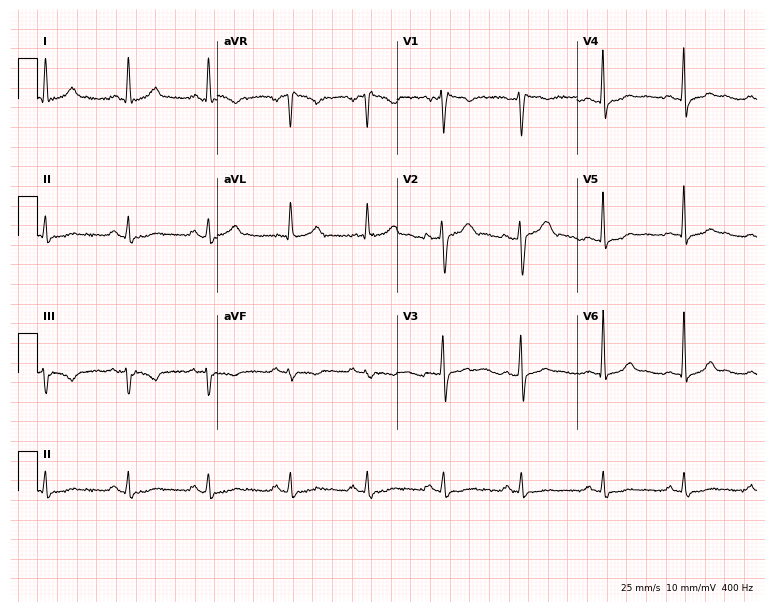
12-lead ECG from a male patient, 42 years old. No first-degree AV block, right bundle branch block, left bundle branch block, sinus bradycardia, atrial fibrillation or sinus tachycardia recorded for this tracing. Only these six findings were labelled.